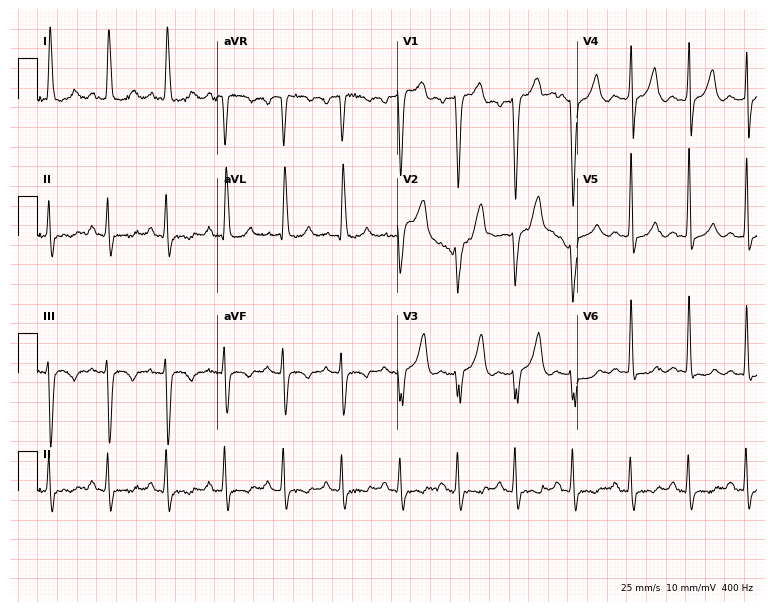
Resting 12-lead electrocardiogram (7.3-second recording at 400 Hz). Patient: a male, 75 years old. The tracing shows sinus tachycardia (a sinus rate of 100 beats per minute or more).